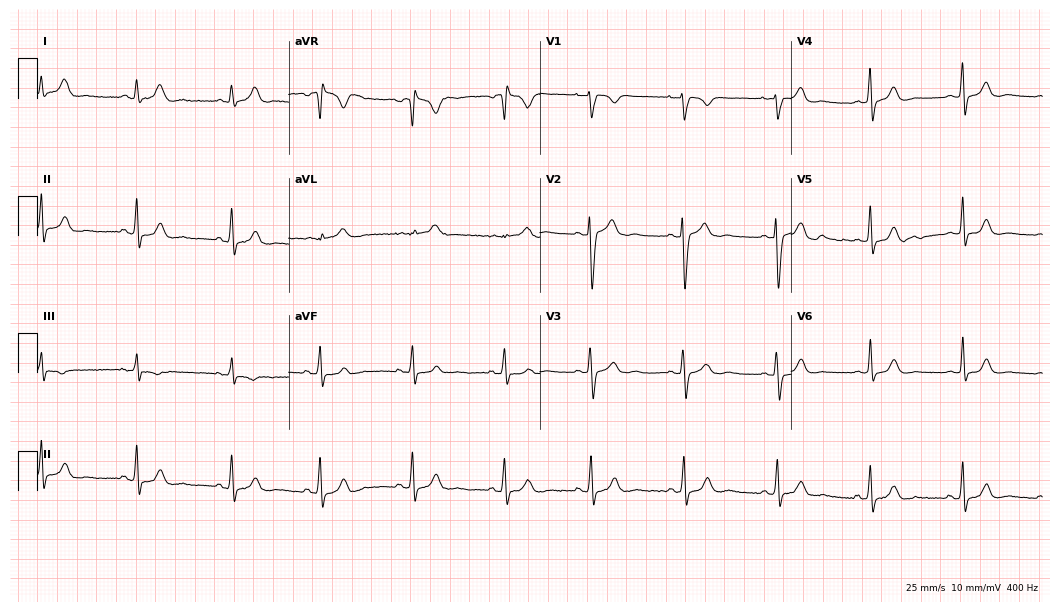
Electrocardiogram, a female, 29 years old. Of the six screened findings (first-degree AV block, right bundle branch block (RBBB), left bundle branch block (LBBB), sinus bradycardia, atrial fibrillation (AF), sinus tachycardia), none is recorded. Findings outside these six are not listed.